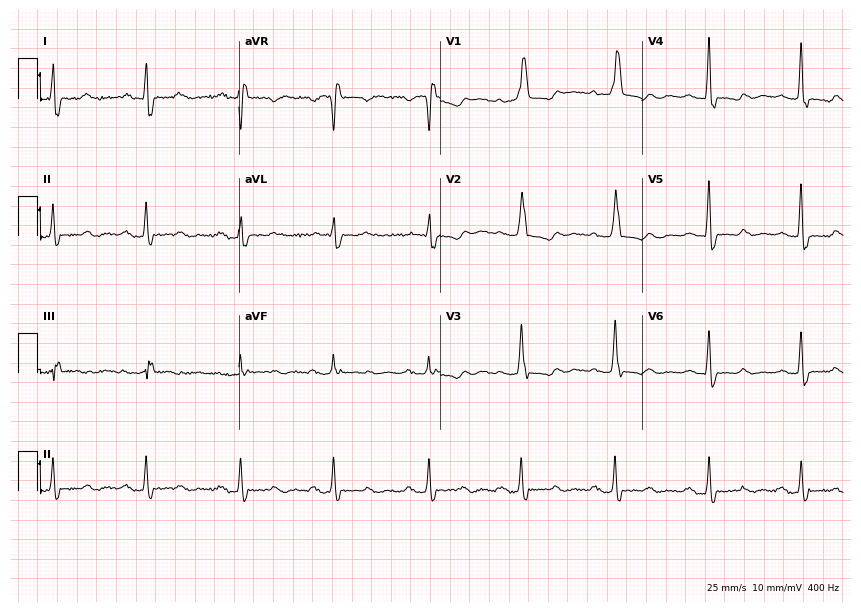
Electrocardiogram (8.2-second recording at 400 Hz), a 59-year-old female patient. Of the six screened findings (first-degree AV block, right bundle branch block (RBBB), left bundle branch block (LBBB), sinus bradycardia, atrial fibrillation (AF), sinus tachycardia), none is recorded. Only these six findings were labelled.